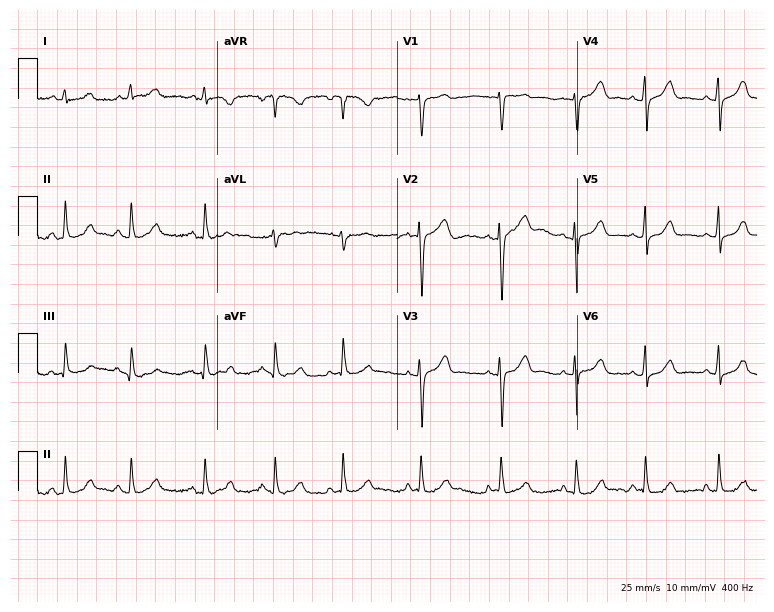
12-lead ECG from a 38-year-old female patient. Labelled as a normal ECG.